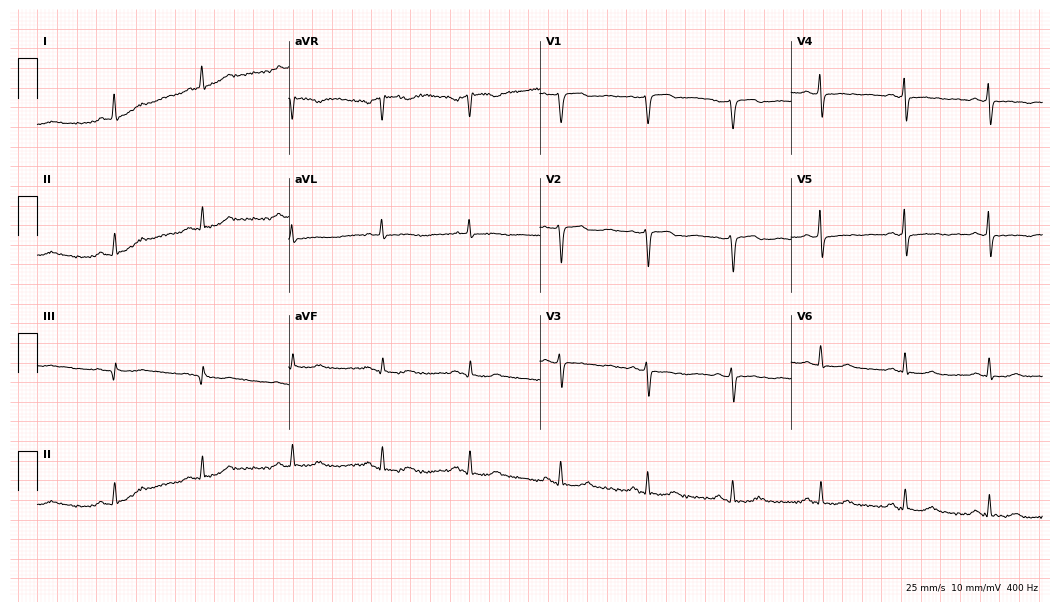
ECG (10.2-second recording at 400 Hz) — a male patient, 61 years old. Screened for six findings — first-degree AV block, right bundle branch block (RBBB), left bundle branch block (LBBB), sinus bradycardia, atrial fibrillation (AF), sinus tachycardia — none is recorded. Findings outside these six are not listed.